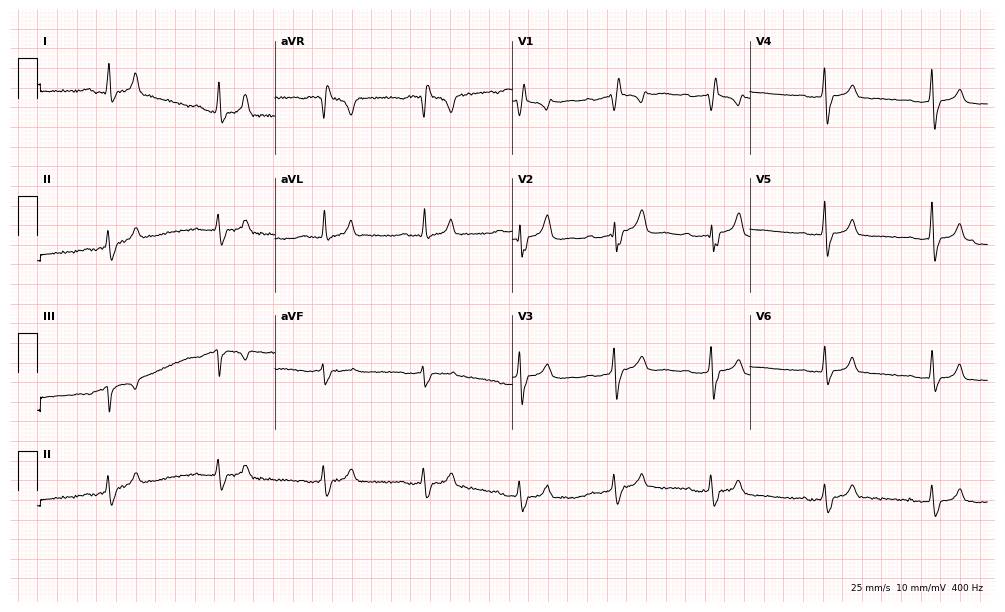
Standard 12-lead ECG recorded from an 83-year-old woman. The tracing shows right bundle branch block (RBBB).